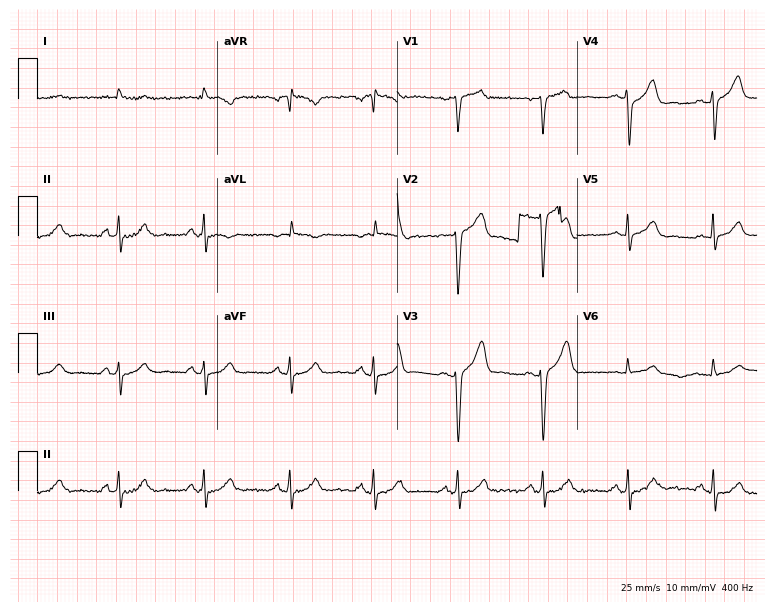
Standard 12-lead ECG recorded from a 61-year-old man (7.3-second recording at 400 Hz). None of these six findings is recorded: first-degree AV block, right bundle branch block (RBBB), left bundle branch block (LBBB), sinus bradycardia, atrial fibrillation (AF), sinus tachycardia.